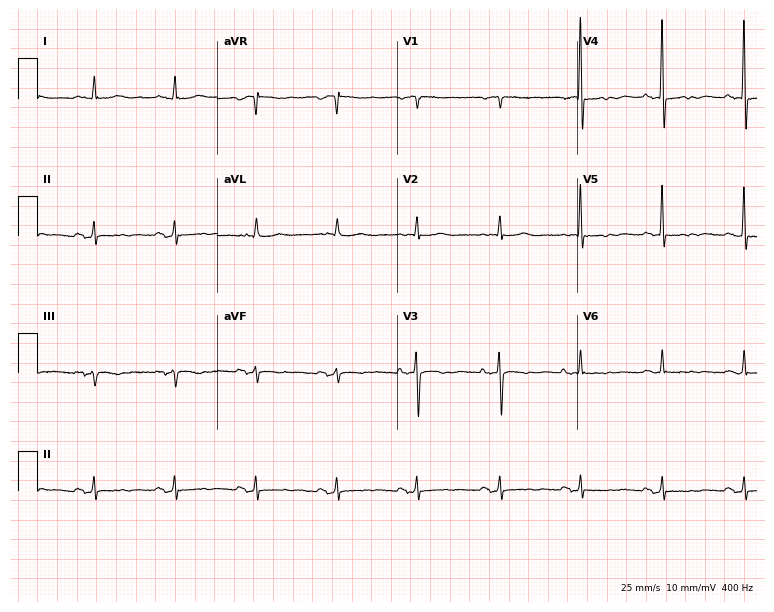
Electrocardiogram, a man, 69 years old. Of the six screened findings (first-degree AV block, right bundle branch block, left bundle branch block, sinus bradycardia, atrial fibrillation, sinus tachycardia), none is recorded. Only these six findings were labelled.